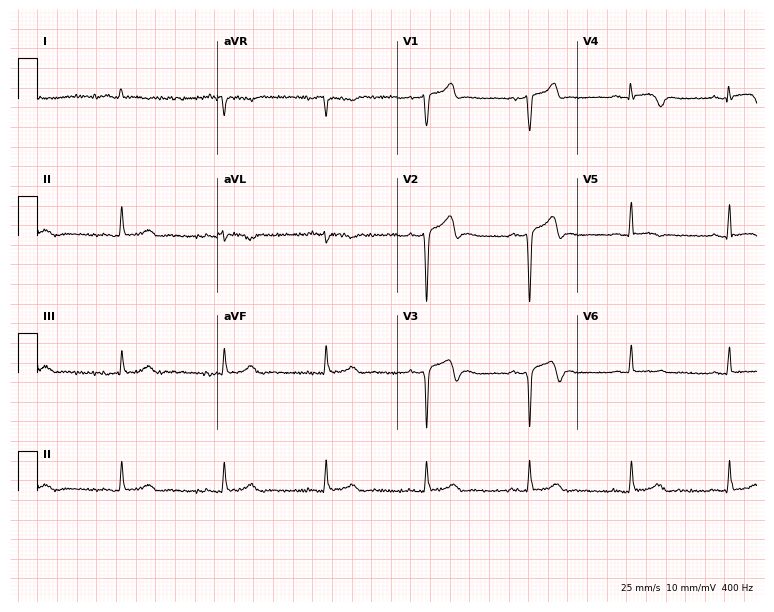
Standard 12-lead ECG recorded from a male patient, 64 years old. None of these six findings is recorded: first-degree AV block, right bundle branch block, left bundle branch block, sinus bradycardia, atrial fibrillation, sinus tachycardia.